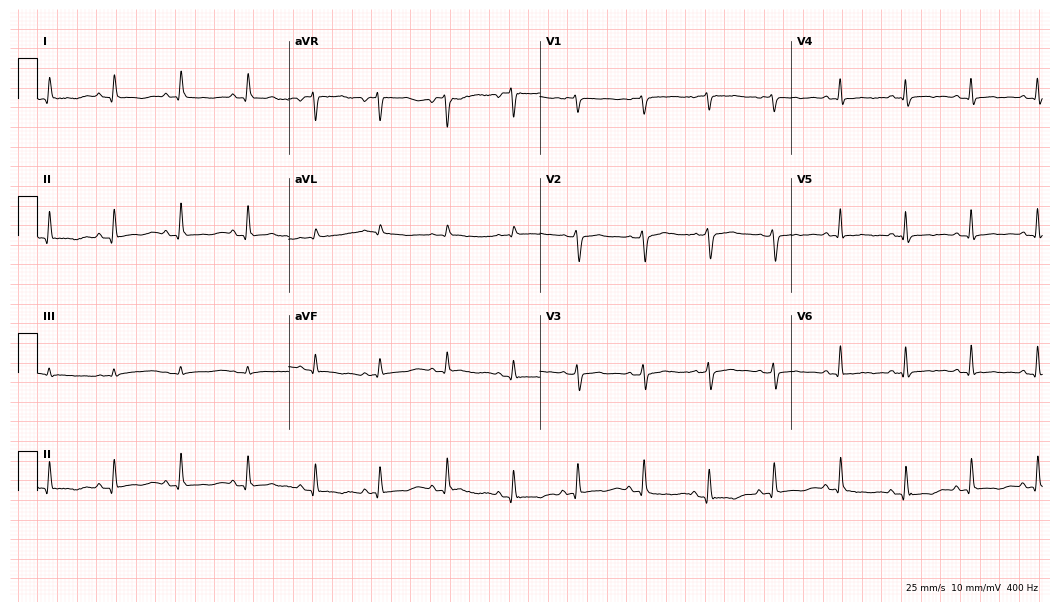
12-lead ECG from a female patient, 46 years old (10.2-second recording at 400 Hz). No first-degree AV block, right bundle branch block (RBBB), left bundle branch block (LBBB), sinus bradycardia, atrial fibrillation (AF) or sinus tachycardia recorded for this tracing. Other findings, if any, are not listed.